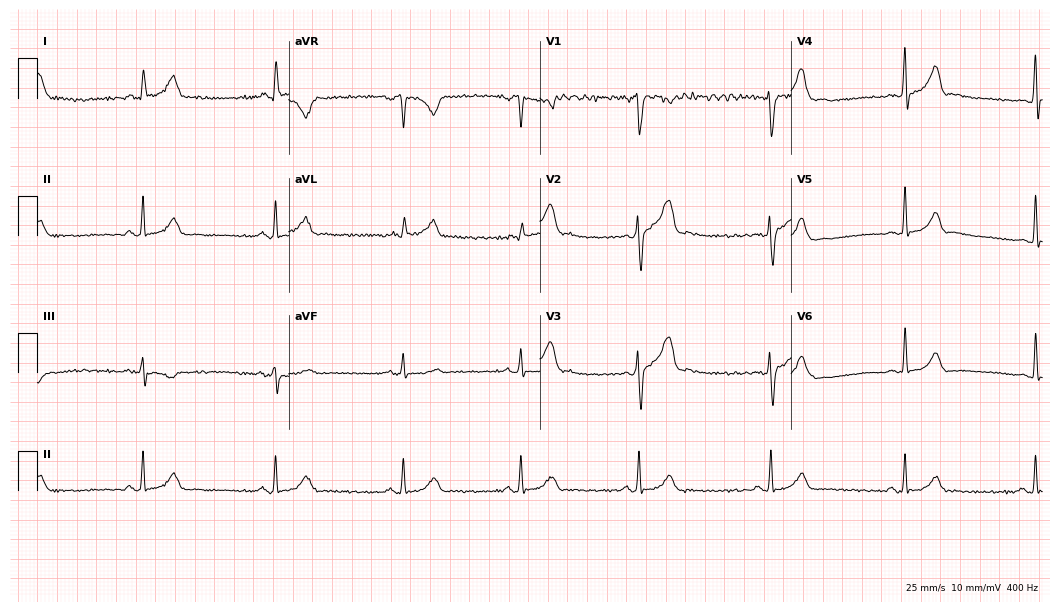
ECG (10.2-second recording at 400 Hz) — a 54-year-old man. Screened for six findings — first-degree AV block, right bundle branch block, left bundle branch block, sinus bradycardia, atrial fibrillation, sinus tachycardia — none is recorded.